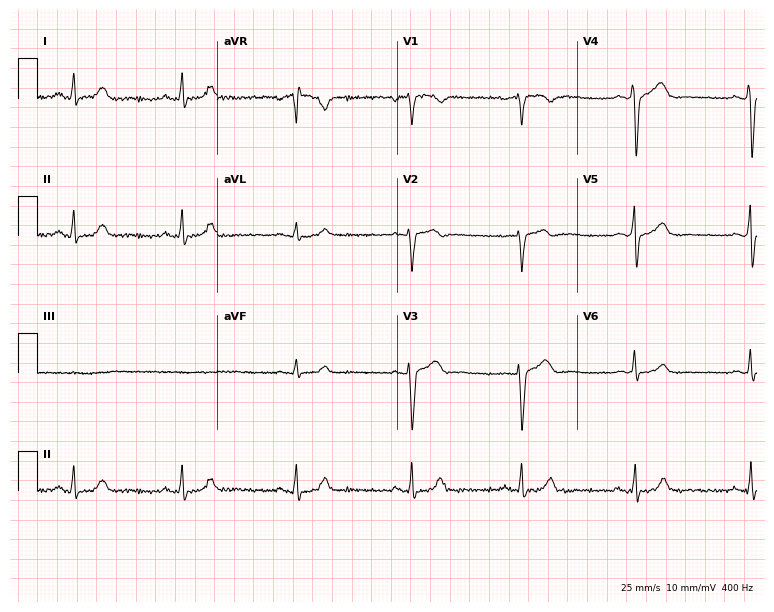
12-lead ECG from a female, 72 years old (7.3-second recording at 400 Hz). No first-degree AV block, right bundle branch block (RBBB), left bundle branch block (LBBB), sinus bradycardia, atrial fibrillation (AF) or sinus tachycardia recorded for this tracing. Other findings, if any, are not listed.